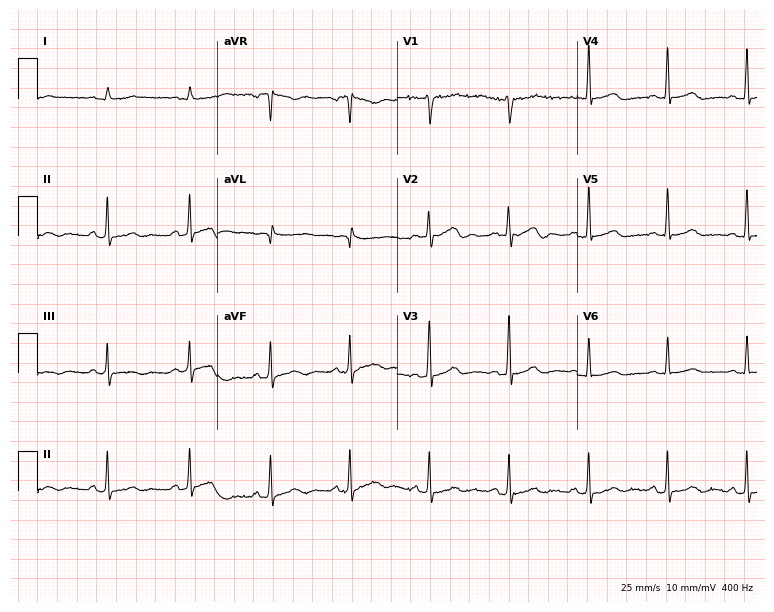
12-lead ECG from a male patient, 32 years old. No first-degree AV block, right bundle branch block (RBBB), left bundle branch block (LBBB), sinus bradycardia, atrial fibrillation (AF) or sinus tachycardia recorded for this tracing. Findings outside these six are not listed.